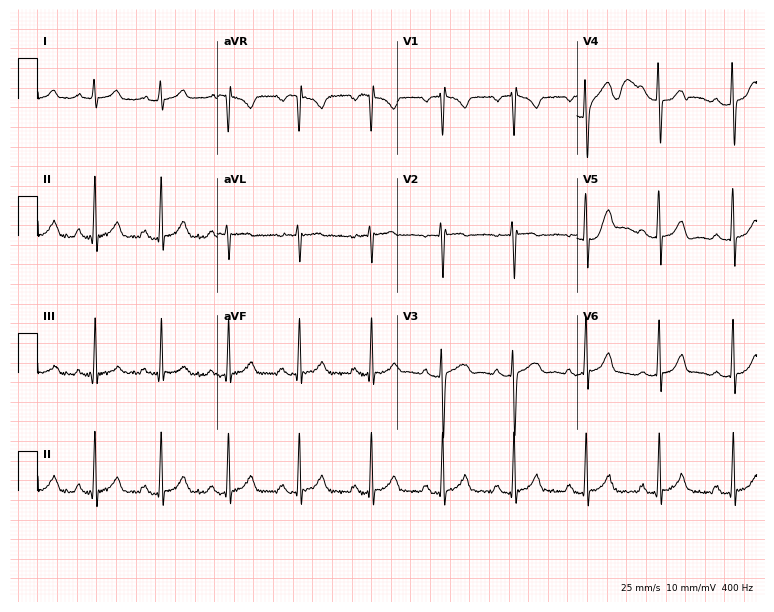
12-lead ECG from a female, 18 years old (7.3-second recording at 400 Hz). Recorded interpretation: within normal limits.